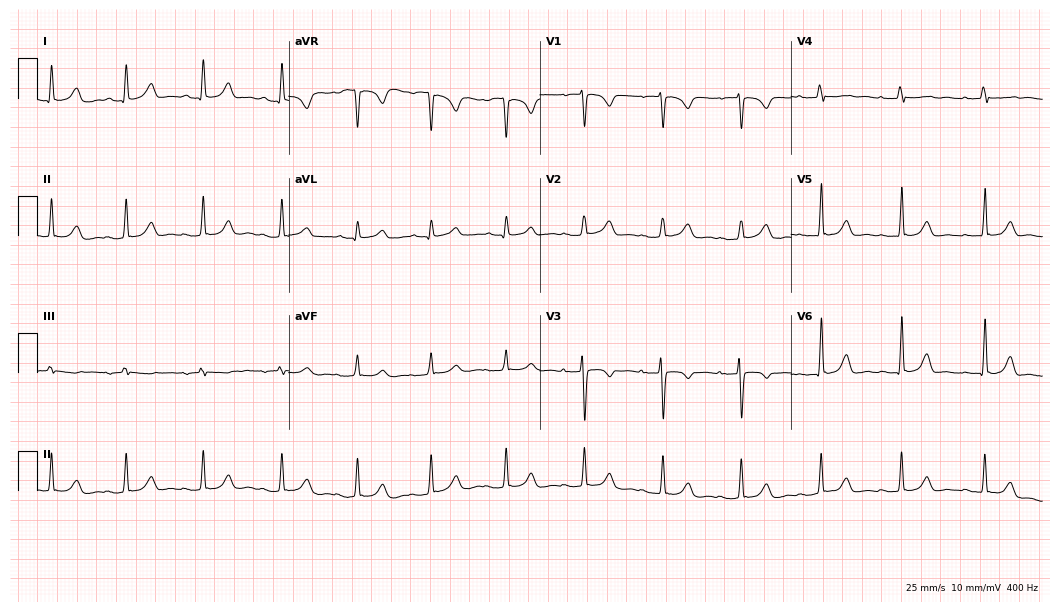
12-lead ECG (10.2-second recording at 400 Hz) from a female patient, 33 years old. Labelled as a normal ECG.